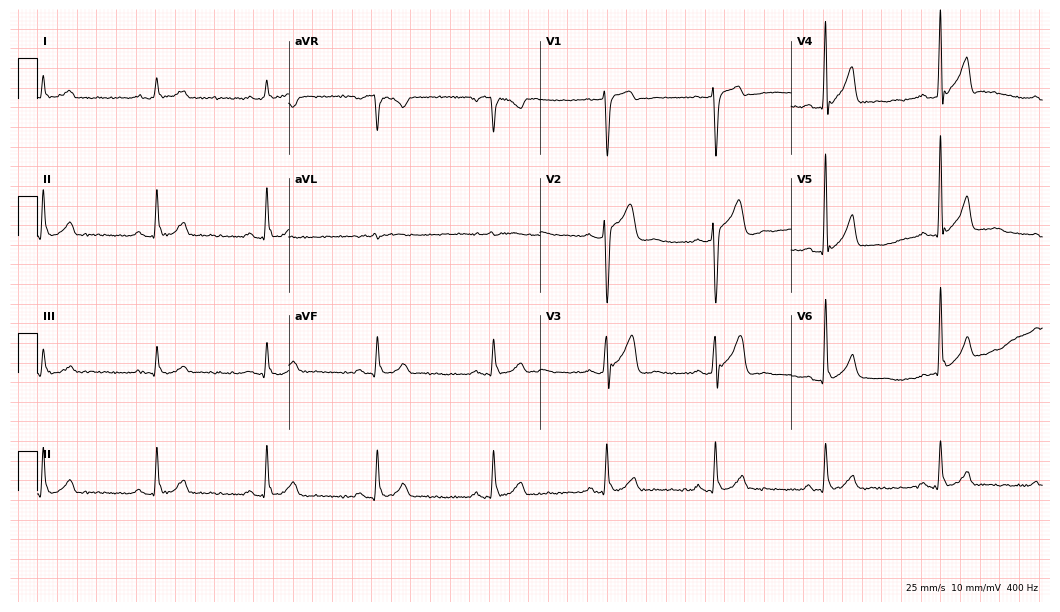
12-lead ECG from a male patient, 60 years old. Screened for six findings — first-degree AV block, right bundle branch block, left bundle branch block, sinus bradycardia, atrial fibrillation, sinus tachycardia — none is recorded.